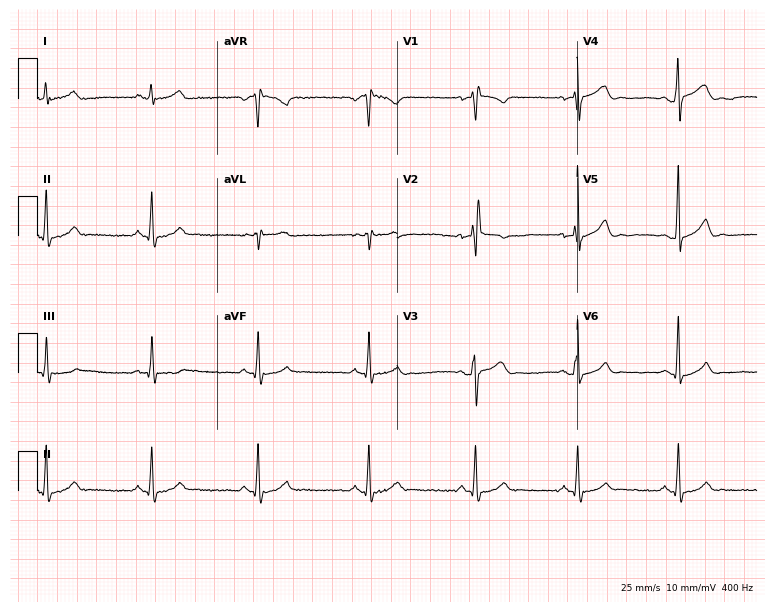
12-lead ECG from a man, 21 years old. No first-degree AV block, right bundle branch block (RBBB), left bundle branch block (LBBB), sinus bradycardia, atrial fibrillation (AF) or sinus tachycardia recorded for this tracing. Findings outside these six are not listed.